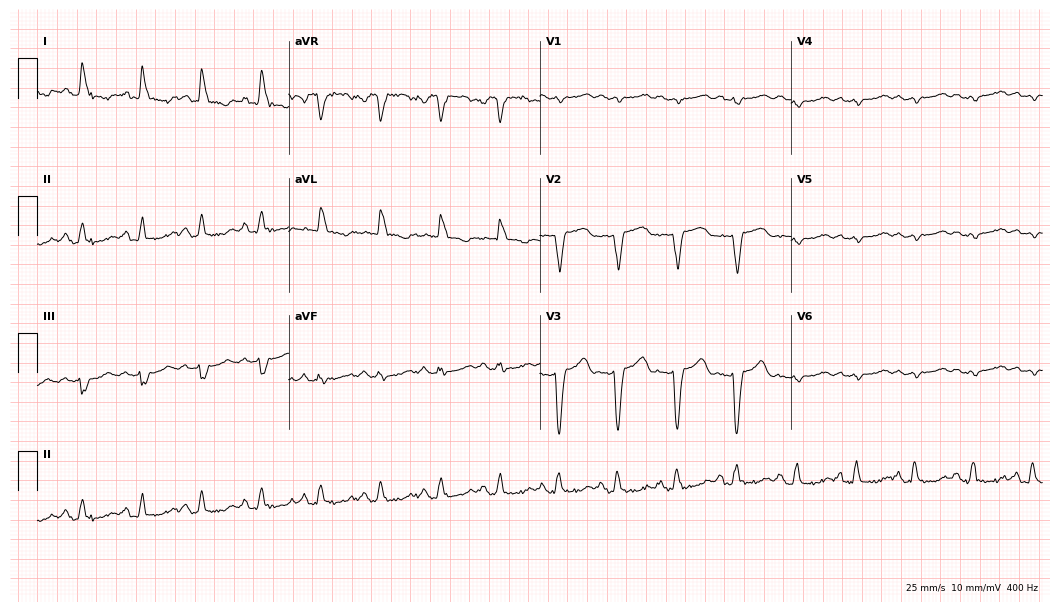
Electrocardiogram, a woman, 62 years old. Of the six screened findings (first-degree AV block, right bundle branch block, left bundle branch block, sinus bradycardia, atrial fibrillation, sinus tachycardia), none is recorded. Other findings, if any, are not listed.